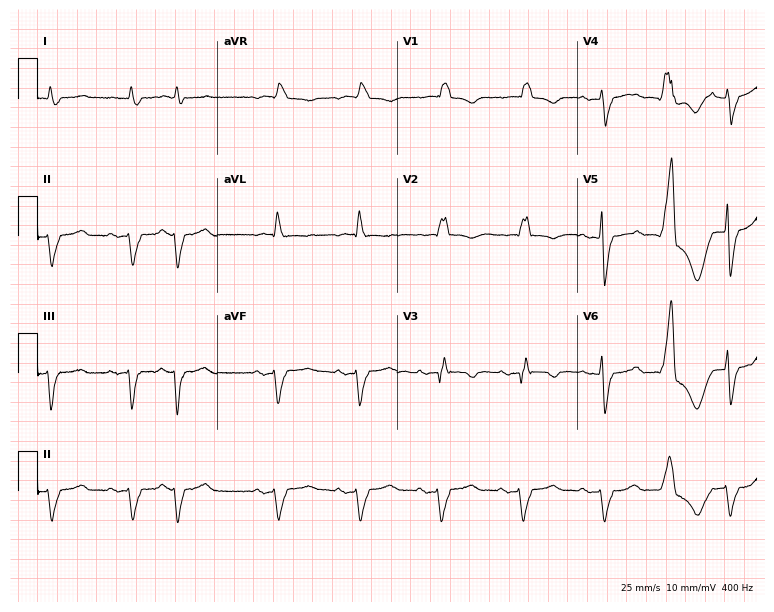
12-lead ECG from a 67-year-old woman. No first-degree AV block, right bundle branch block, left bundle branch block, sinus bradycardia, atrial fibrillation or sinus tachycardia recorded for this tracing. Only these six findings were labelled.